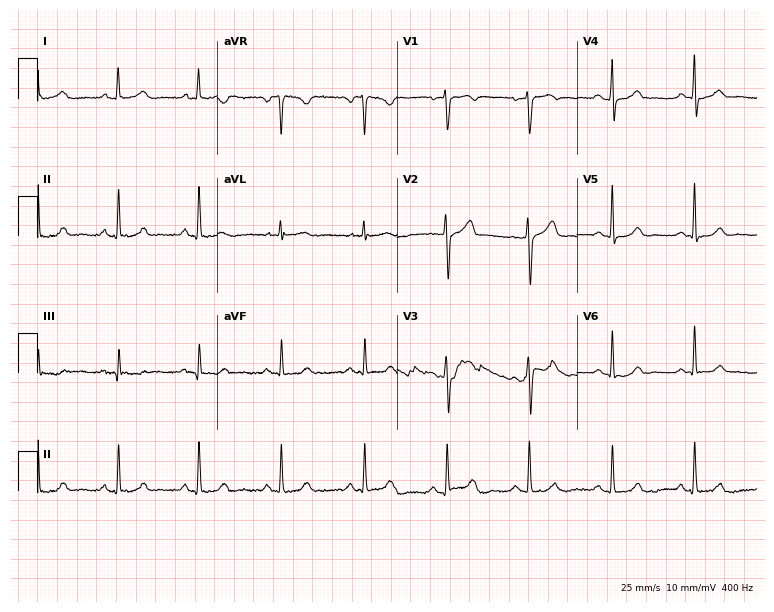
Electrocardiogram, a 56-year-old female. Overall reading on record: normal ECG.